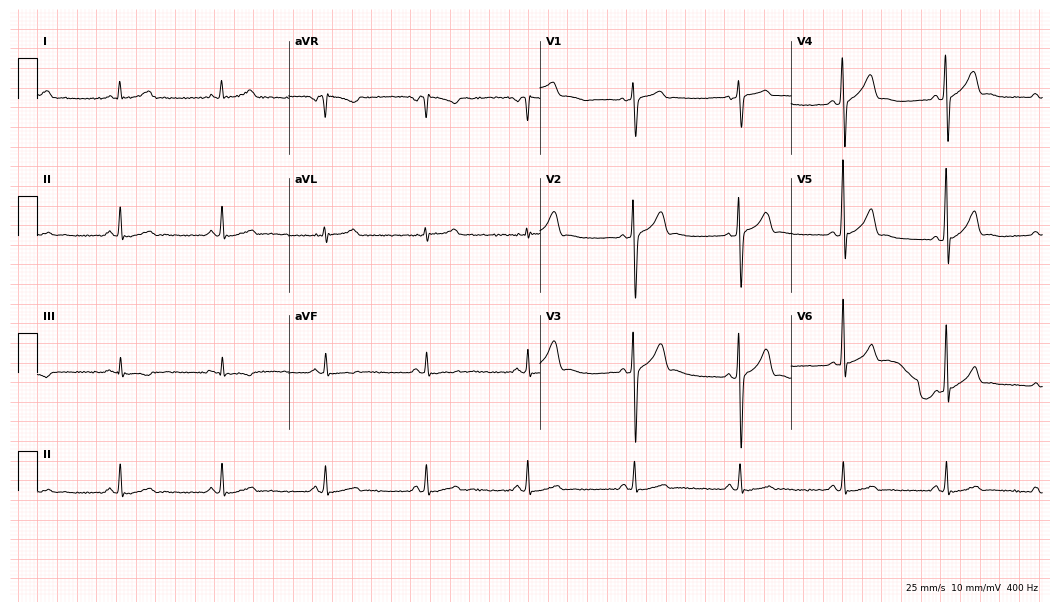
Electrocardiogram, a man, 38 years old. Overall reading on record: normal ECG.